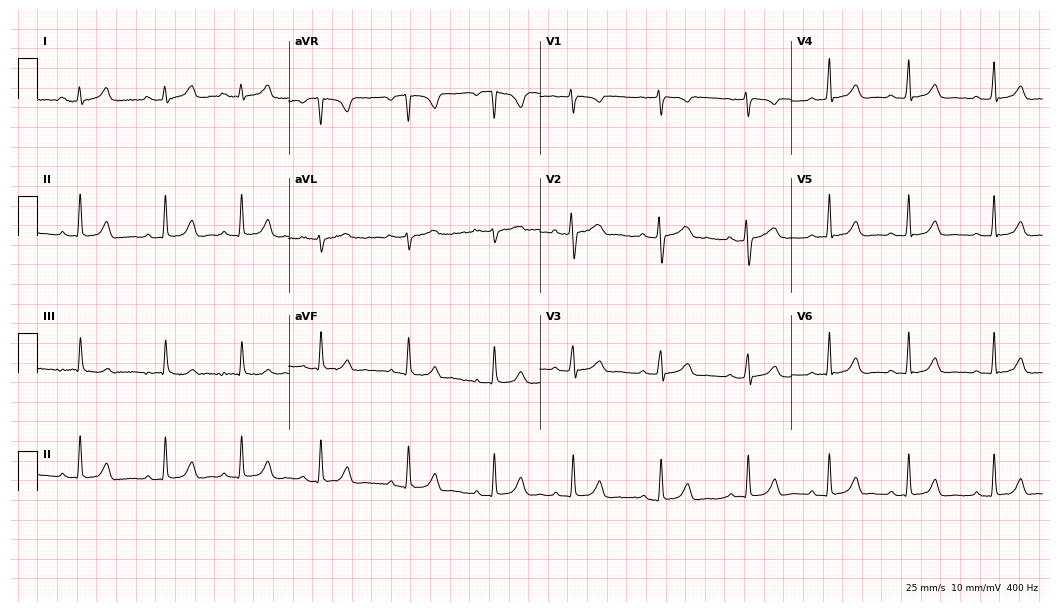
ECG — a female patient, 25 years old. Screened for six findings — first-degree AV block, right bundle branch block, left bundle branch block, sinus bradycardia, atrial fibrillation, sinus tachycardia — none is recorded. Findings outside these six are not listed.